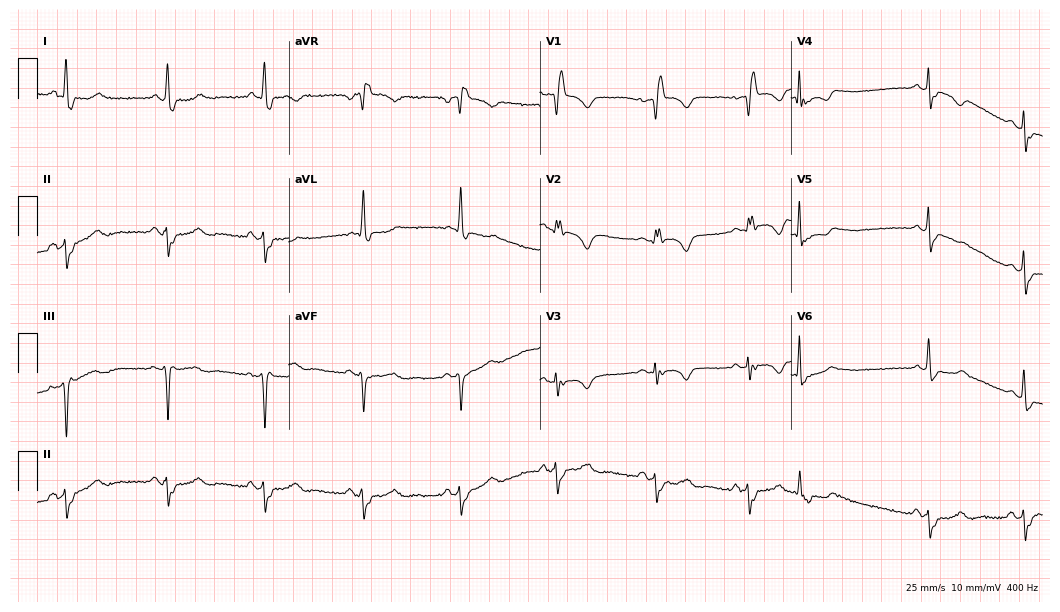
Electrocardiogram, a female, 63 years old. Interpretation includes right bundle branch block.